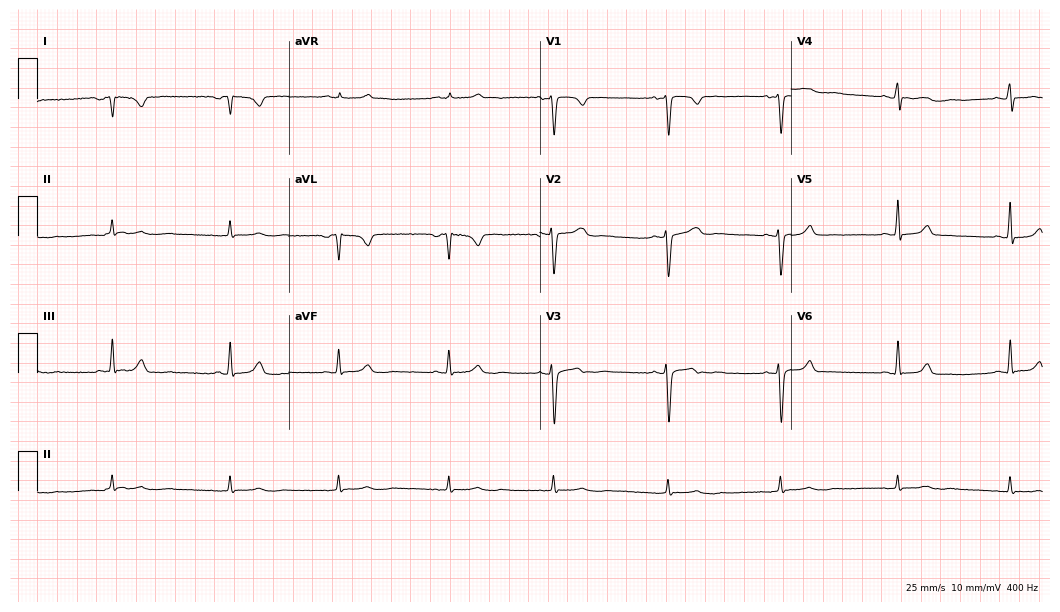
Electrocardiogram (10.2-second recording at 400 Hz), a 41-year-old female patient. Of the six screened findings (first-degree AV block, right bundle branch block, left bundle branch block, sinus bradycardia, atrial fibrillation, sinus tachycardia), none is recorded.